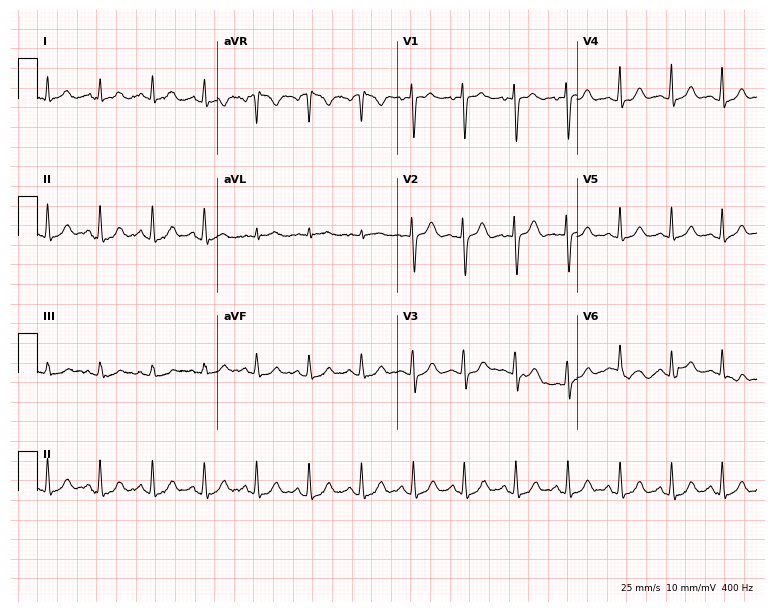
ECG (7.3-second recording at 400 Hz) — a male patient, 17 years old. Findings include sinus tachycardia (a sinus rate of 100 beats per minute or more).